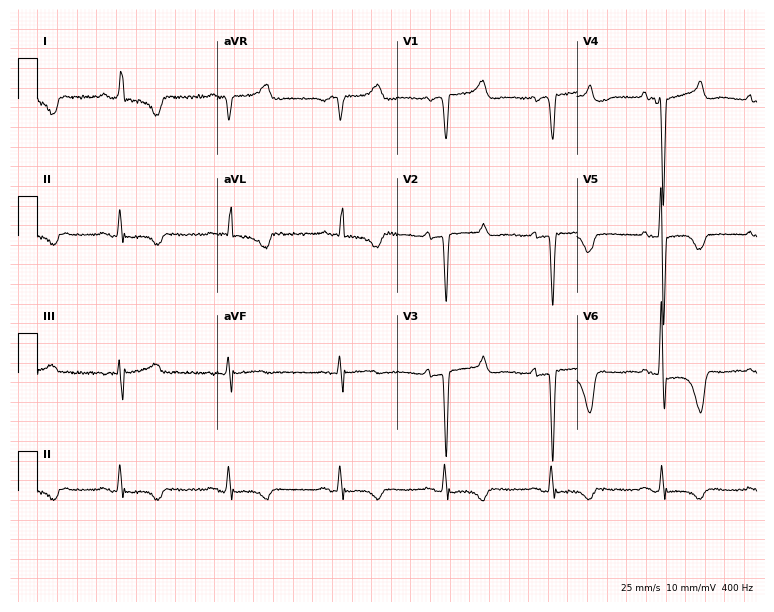
12-lead ECG from a woman, 53 years old (7.3-second recording at 400 Hz). No first-degree AV block, right bundle branch block (RBBB), left bundle branch block (LBBB), sinus bradycardia, atrial fibrillation (AF) or sinus tachycardia recorded for this tracing.